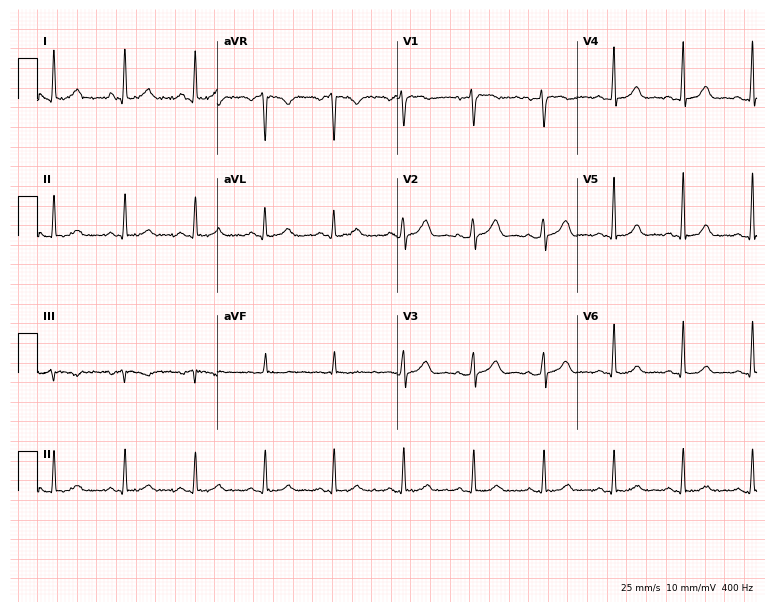
Standard 12-lead ECG recorded from a 43-year-old woman (7.3-second recording at 400 Hz). Read as a normal ECG.